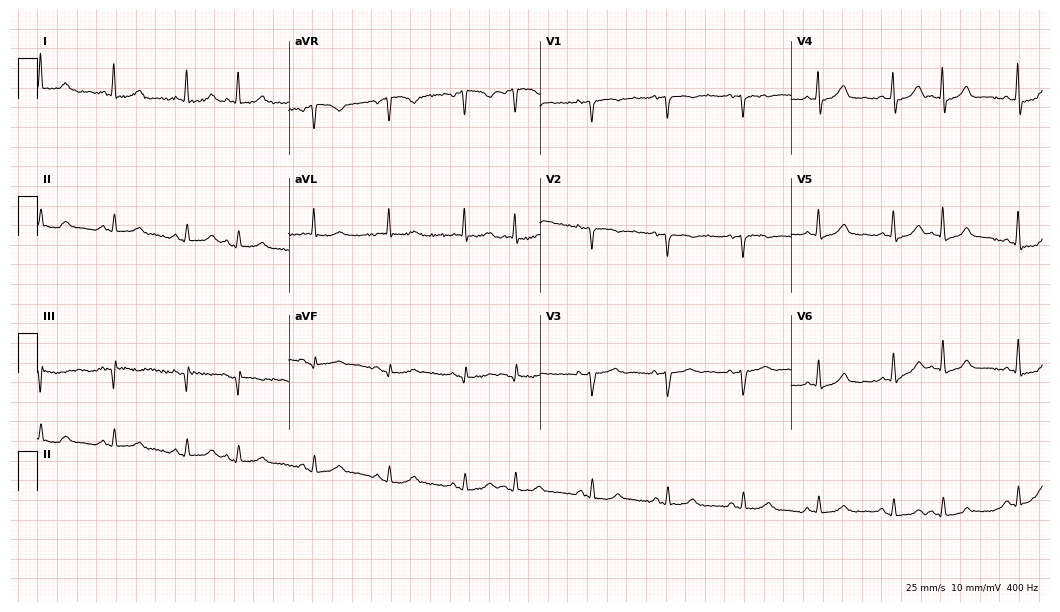
Resting 12-lead electrocardiogram (10.2-second recording at 400 Hz). Patient: a female, 54 years old. Read as a normal ECG.